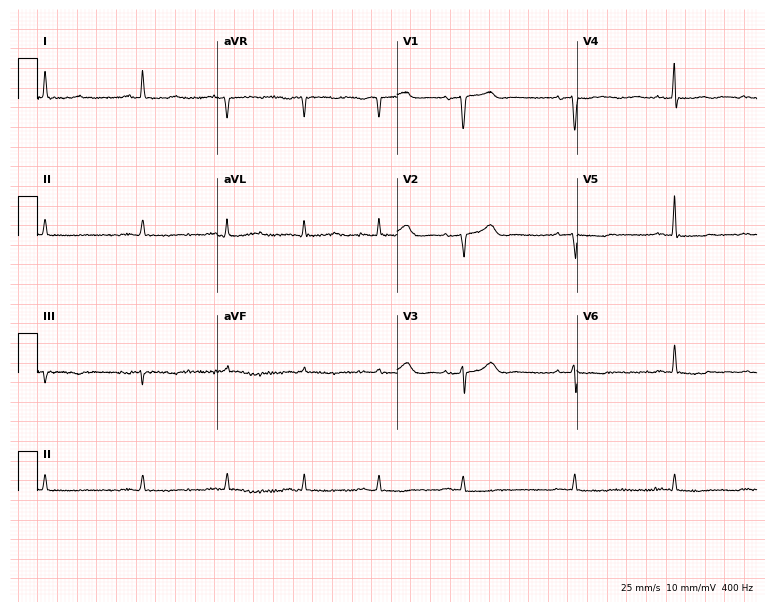
ECG — an 83-year-old man. Screened for six findings — first-degree AV block, right bundle branch block, left bundle branch block, sinus bradycardia, atrial fibrillation, sinus tachycardia — none is recorded.